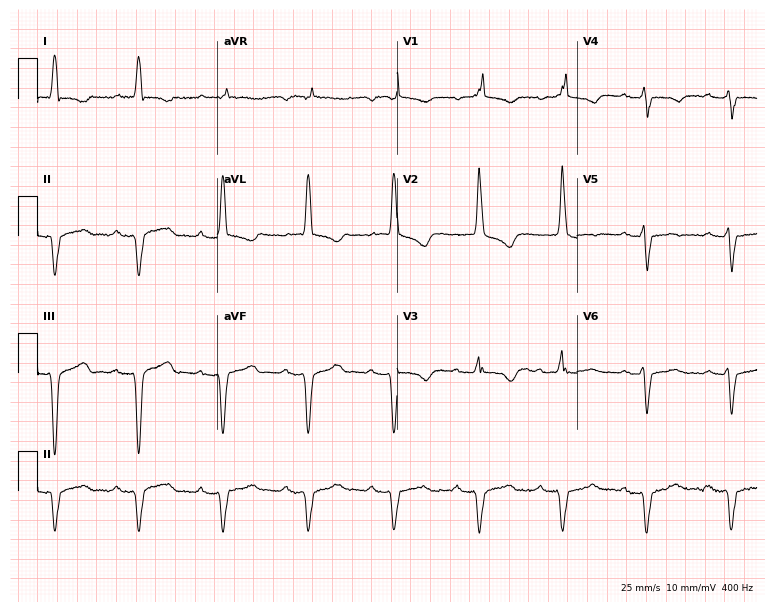
12-lead ECG from a female, 82 years old. No first-degree AV block, right bundle branch block, left bundle branch block, sinus bradycardia, atrial fibrillation or sinus tachycardia recorded for this tracing. Findings outside these six are not listed.